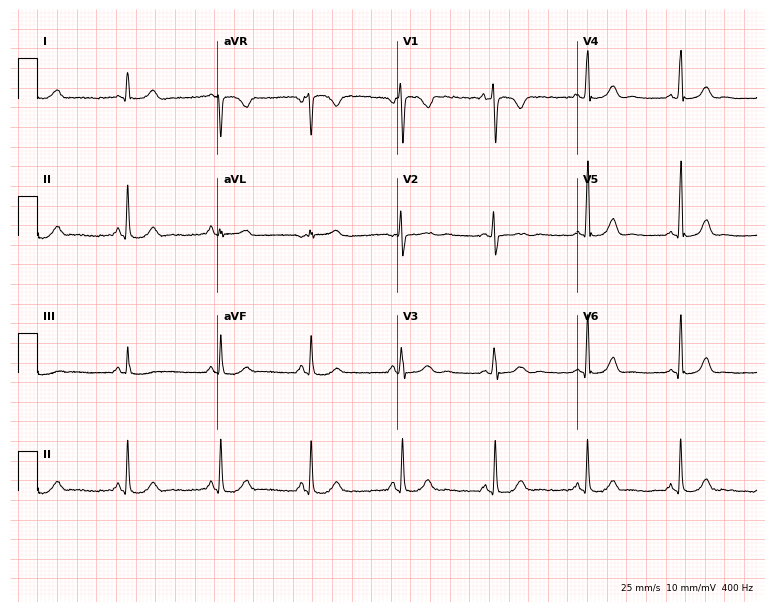
ECG (7.3-second recording at 400 Hz) — a female patient, 32 years old. Labelled as a normal ECG.